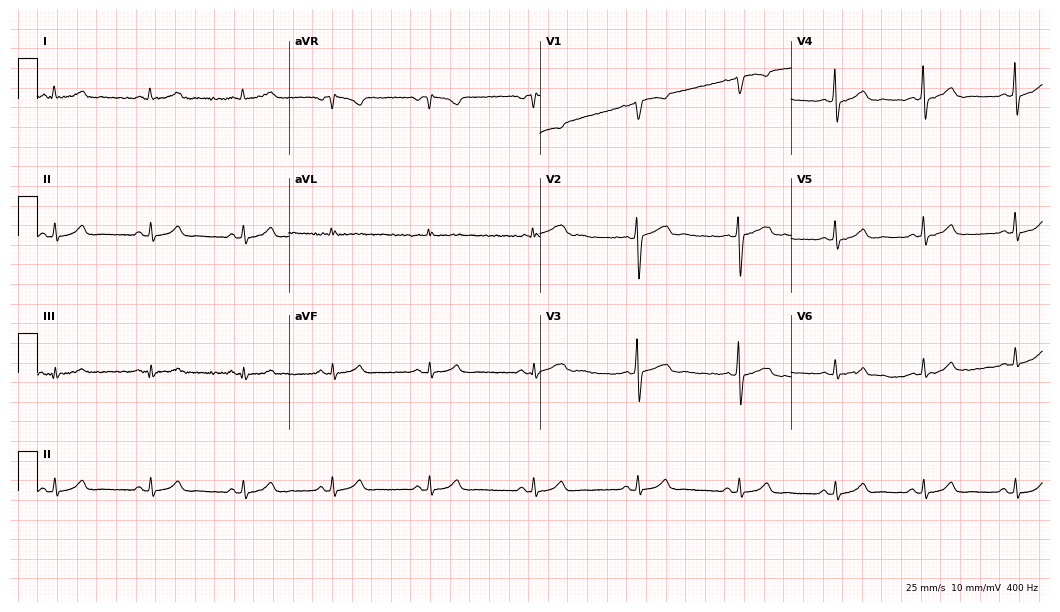
Standard 12-lead ECG recorded from a woman, 34 years old. None of these six findings is recorded: first-degree AV block, right bundle branch block, left bundle branch block, sinus bradycardia, atrial fibrillation, sinus tachycardia.